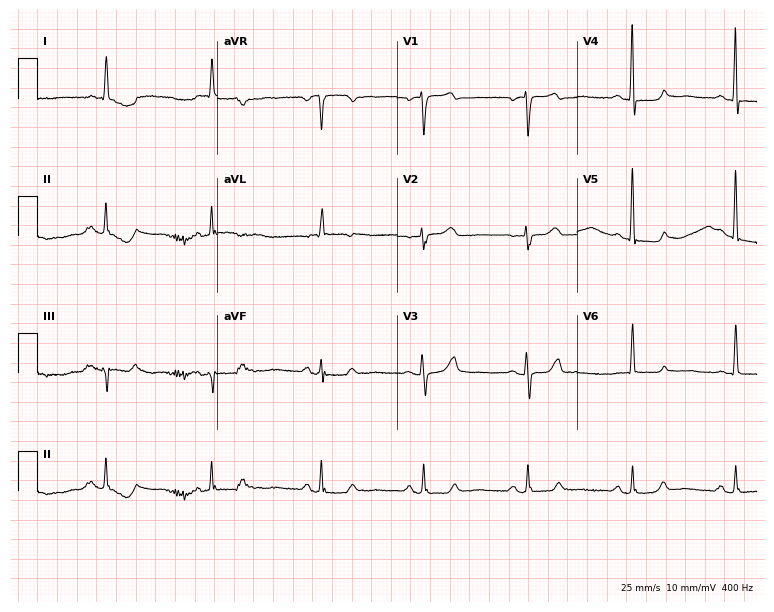
Standard 12-lead ECG recorded from a female patient, 79 years old. None of these six findings is recorded: first-degree AV block, right bundle branch block (RBBB), left bundle branch block (LBBB), sinus bradycardia, atrial fibrillation (AF), sinus tachycardia.